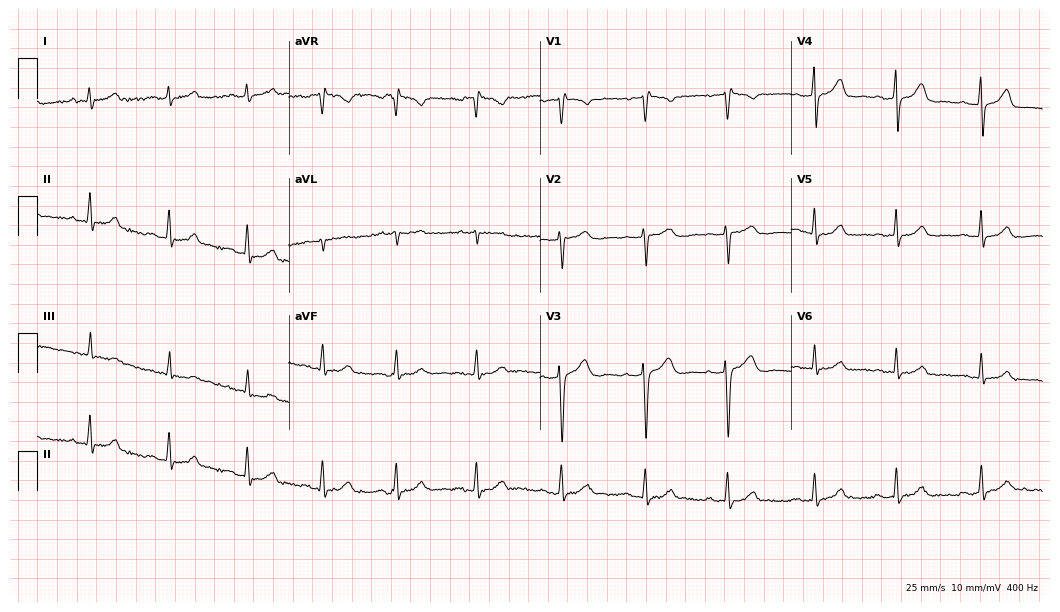
ECG — a female, 33 years old. Screened for six findings — first-degree AV block, right bundle branch block, left bundle branch block, sinus bradycardia, atrial fibrillation, sinus tachycardia — none is recorded.